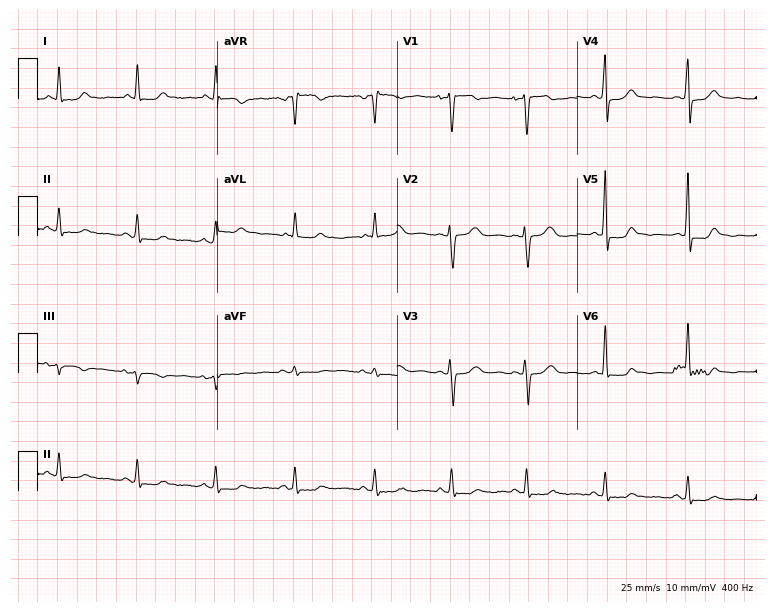
ECG (7.3-second recording at 400 Hz) — a woman, 51 years old. Screened for six findings — first-degree AV block, right bundle branch block, left bundle branch block, sinus bradycardia, atrial fibrillation, sinus tachycardia — none is recorded.